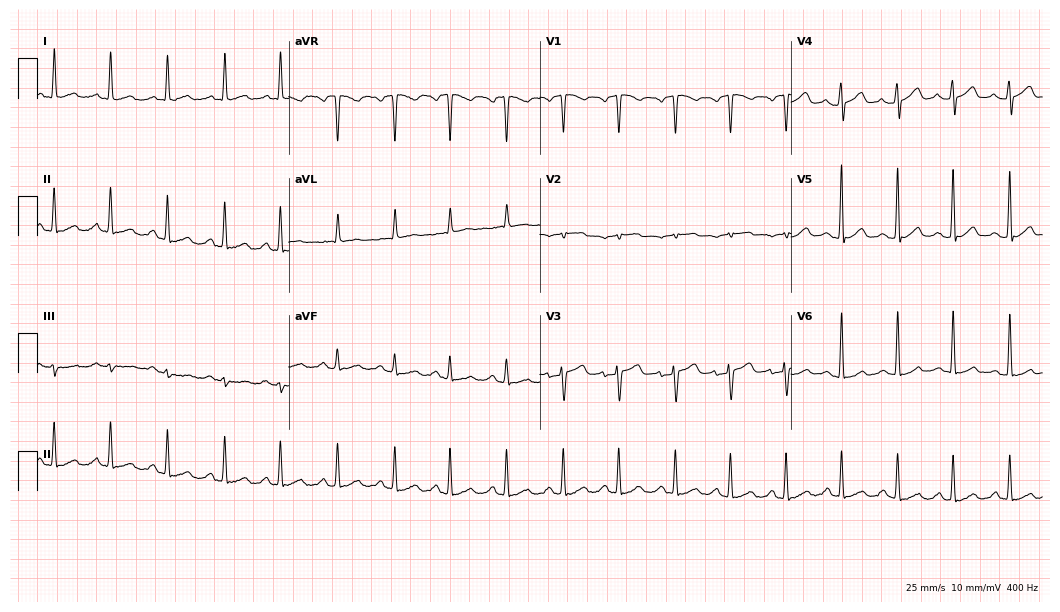
ECG — a 69-year-old woman. Labelled as a normal ECG.